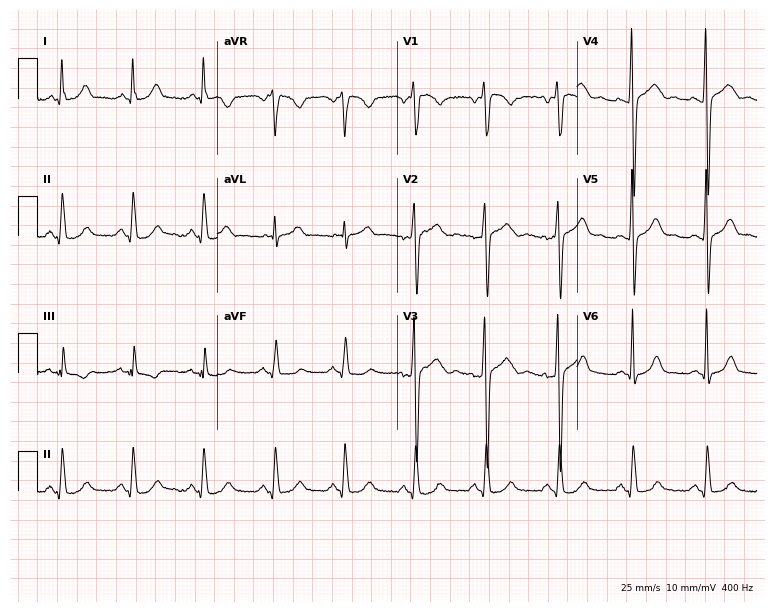
Electrocardiogram, a male patient, 37 years old. Overall reading on record: normal ECG.